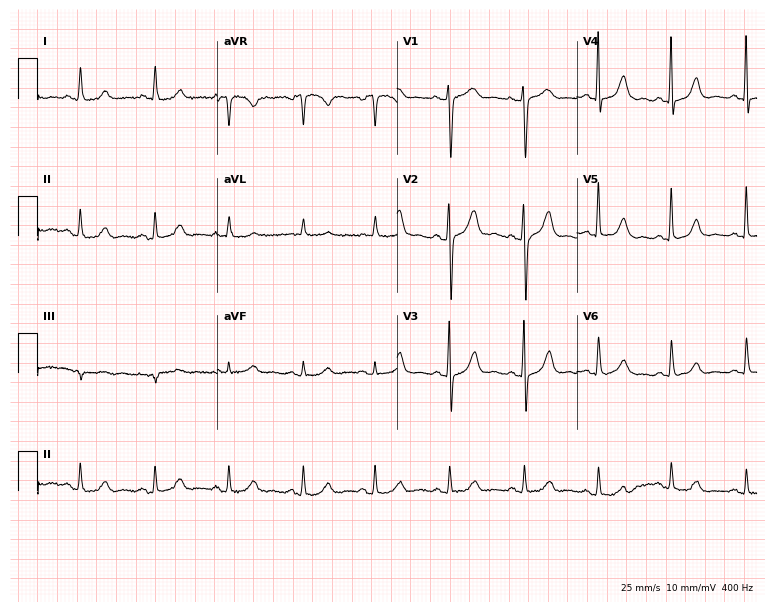
12-lead ECG (7.3-second recording at 400 Hz) from a 55-year-old female. Screened for six findings — first-degree AV block, right bundle branch block, left bundle branch block, sinus bradycardia, atrial fibrillation, sinus tachycardia — none is recorded.